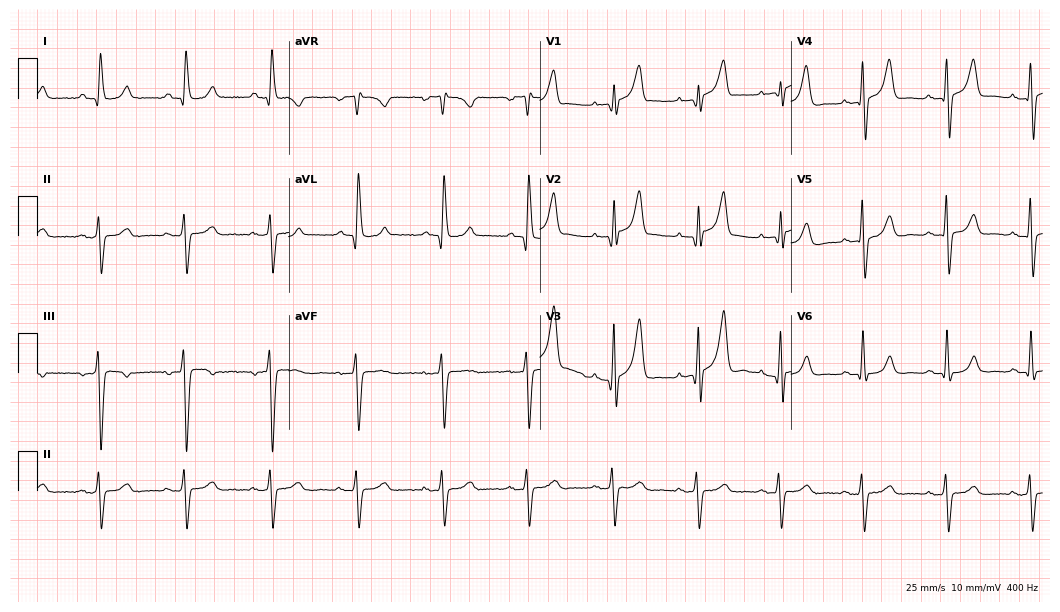
Electrocardiogram (10.2-second recording at 400 Hz), a man, 65 years old. Interpretation includes left bundle branch block.